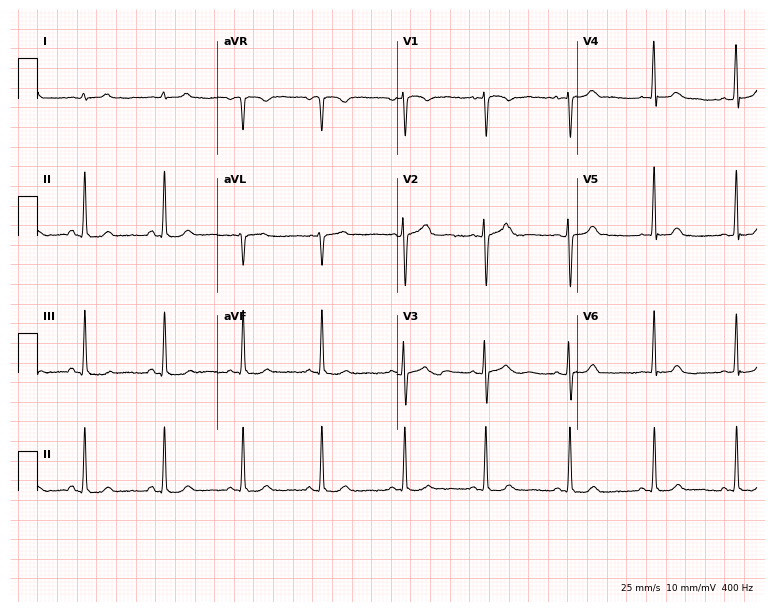
12-lead ECG from a 33-year-old female patient (7.3-second recording at 400 Hz). Recorded interpretation: within normal limits.